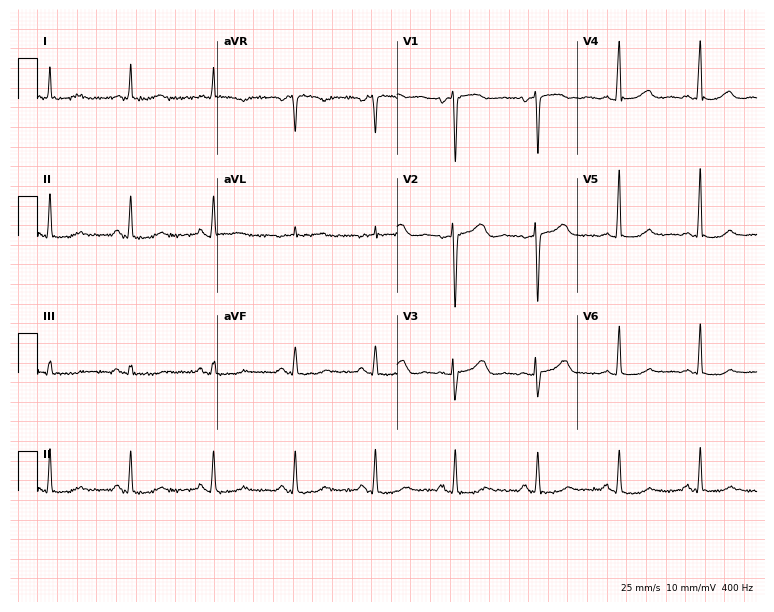
12-lead ECG from a female, 81 years old (7.3-second recording at 400 Hz). No first-degree AV block, right bundle branch block (RBBB), left bundle branch block (LBBB), sinus bradycardia, atrial fibrillation (AF) or sinus tachycardia recorded for this tracing. Other findings, if any, are not listed.